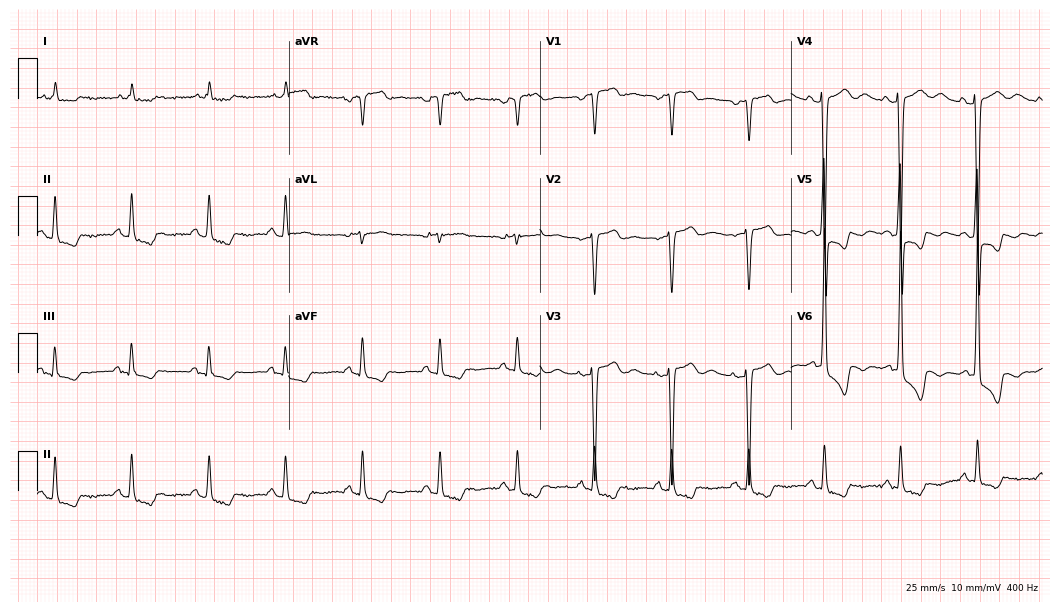
Electrocardiogram, an 85-year-old woman. Of the six screened findings (first-degree AV block, right bundle branch block, left bundle branch block, sinus bradycardia, atrial fibrillation, sinus tachycardia), none is recorded.